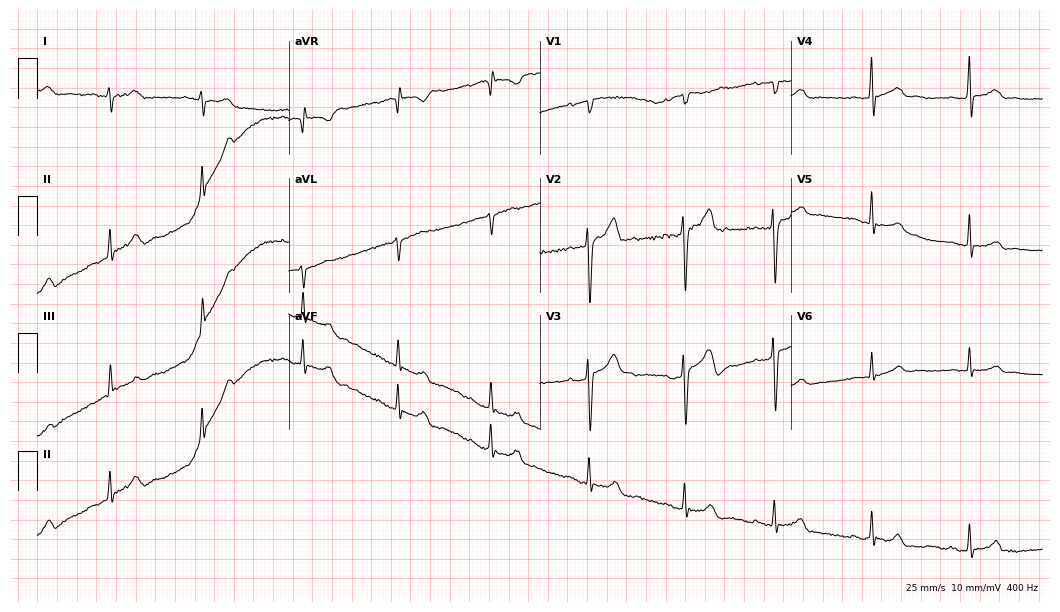
12-lead ECG from a male, 22 years old. No first-degree AV block, right bundle branch block, left bundle branch block, sinus bradycardia, atrial fibrillation or sinus tachycardia recorded for this tracing.